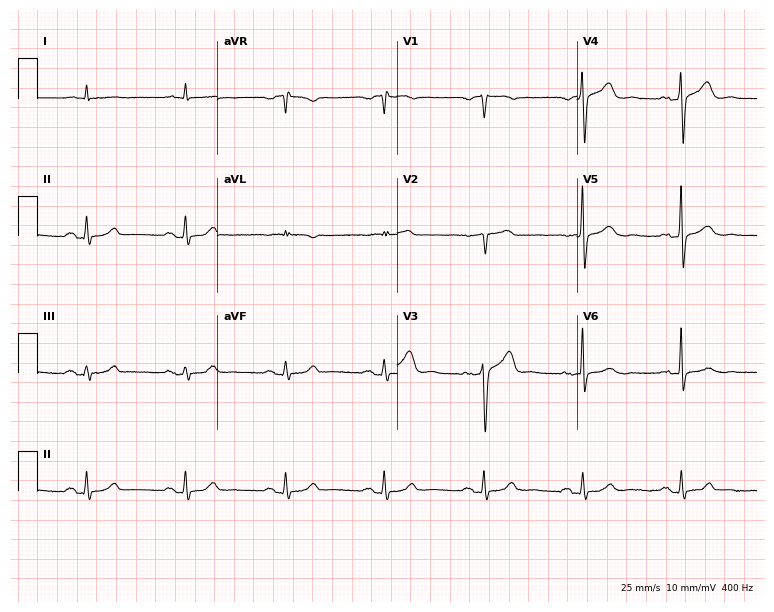
Resting 12-lead electrocardiogram. Patient: a man, 81 years old. None of these six findings is recorded: first-degree AV block, right bundle branch block, left bundle branch block, sinus bradycardia, atrial fibrillation, sinus tachycardia.